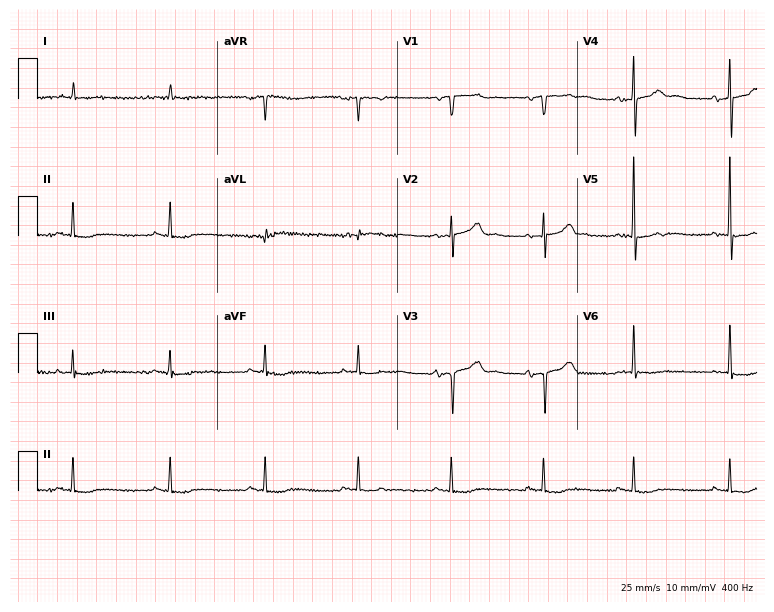
Standard 12-lead ECG recorded from a 78-year-old male. None of these six findings is recorded: first-degree AV block, right bundle branch block, left bundle branch block, sinus bradycardia, atrial fibrillation, sinus tachycardia. Other findings, if any, are not listed.